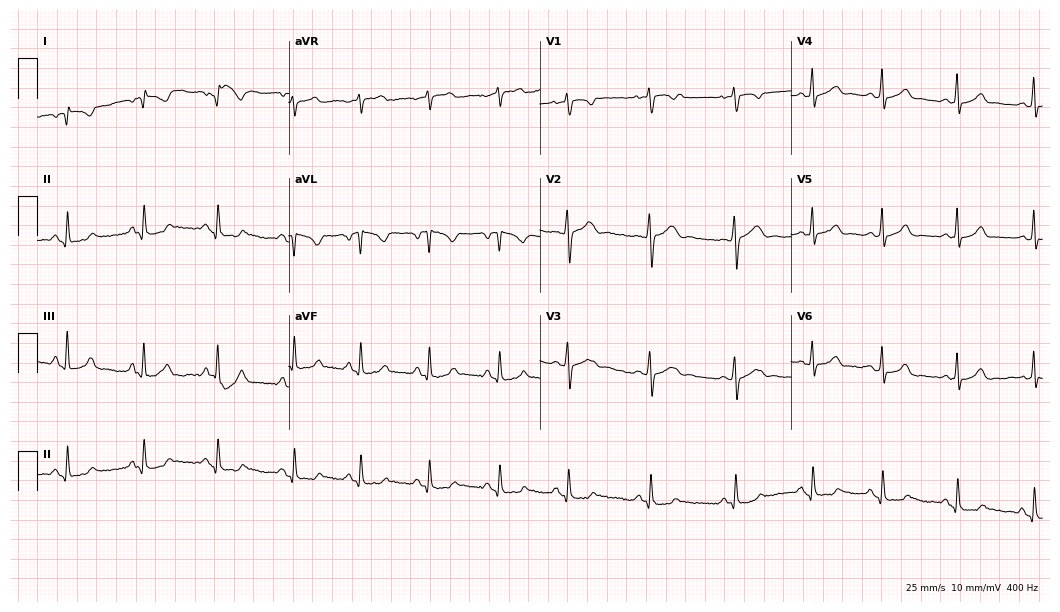
Resting 12-lead electrocardiogram. Patient: a female, 22 years old. None of these six findings is recorded: first-degree AV block, right bundle branch block, left bundle branch block, sinus bradycardia, atrial fibrillation, sinus tachycardia.